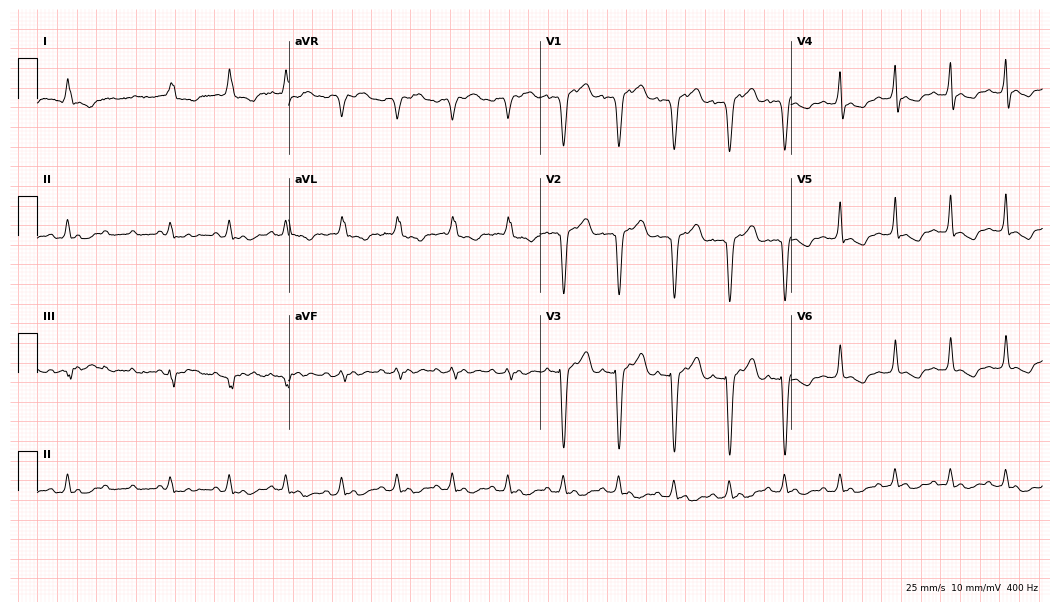
Resting 12-lead electrocardiogram (10.2-second recording at 400 Hz). Patient: a woman, 85 years old. None of these six findings is recorded: first-degree AV block, right bundle branch block, left bundle branch block, sinus bradycardia, atrial fibrillation, sinus tachycardia.